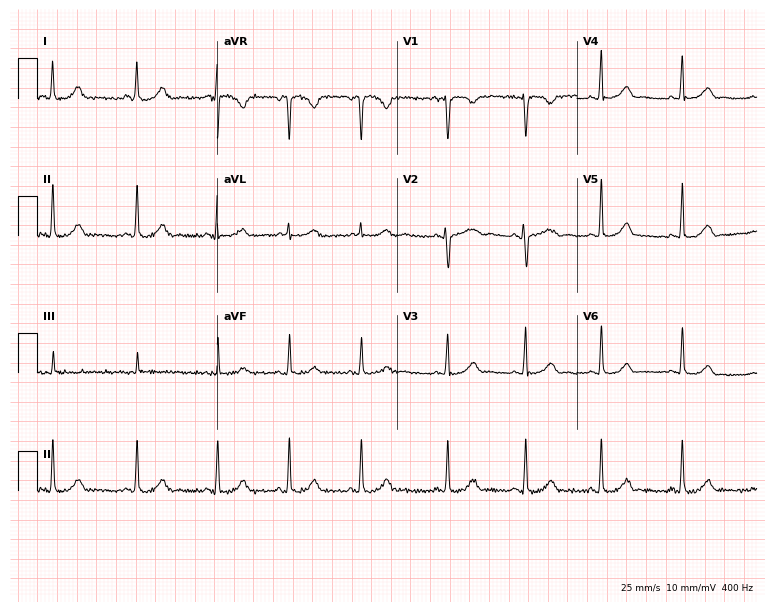
Electrocardiogram (7.3-second recording at 400 Hz), a 23-year-old woman. Overall reading on record: normal ECG.